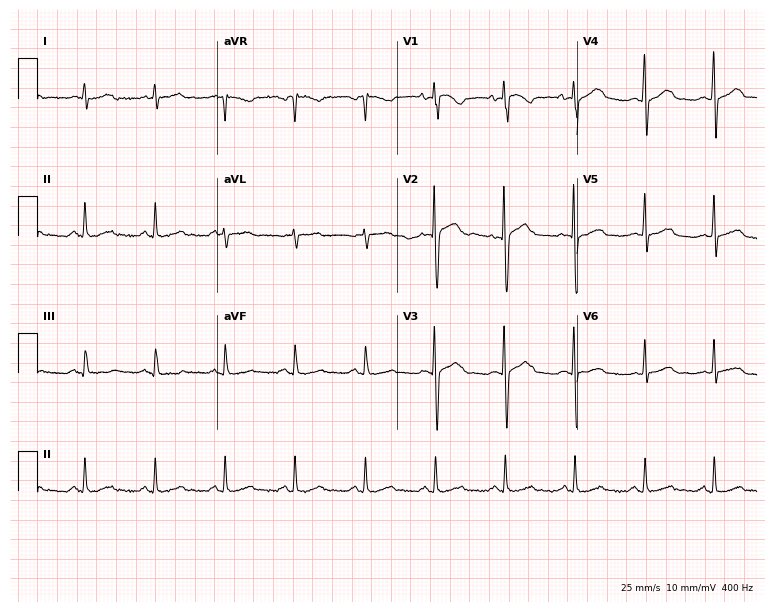
12-lead ECG from a female, 56 years old. No first-degree AV block, right bundle branch block (RBBB), left bundle branch block (LBBB), sinus bradycardia, atrial fibrillation (AF) or sinus tachycardia recorded for this tracing. Only these six findings were labelled.